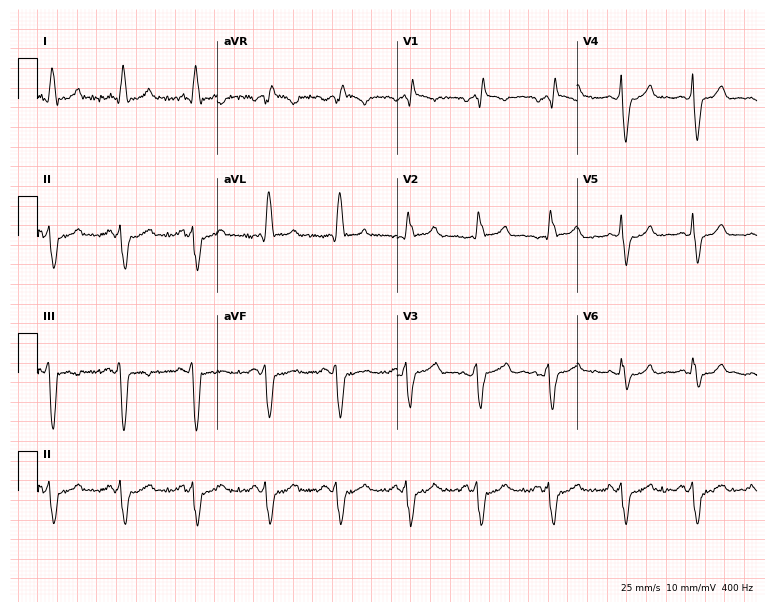
Standard 12-lead ECG recorded from a male patient, 72 years old (7.3-second recording at 400 Hz). The tracing shows right bundle branch block.